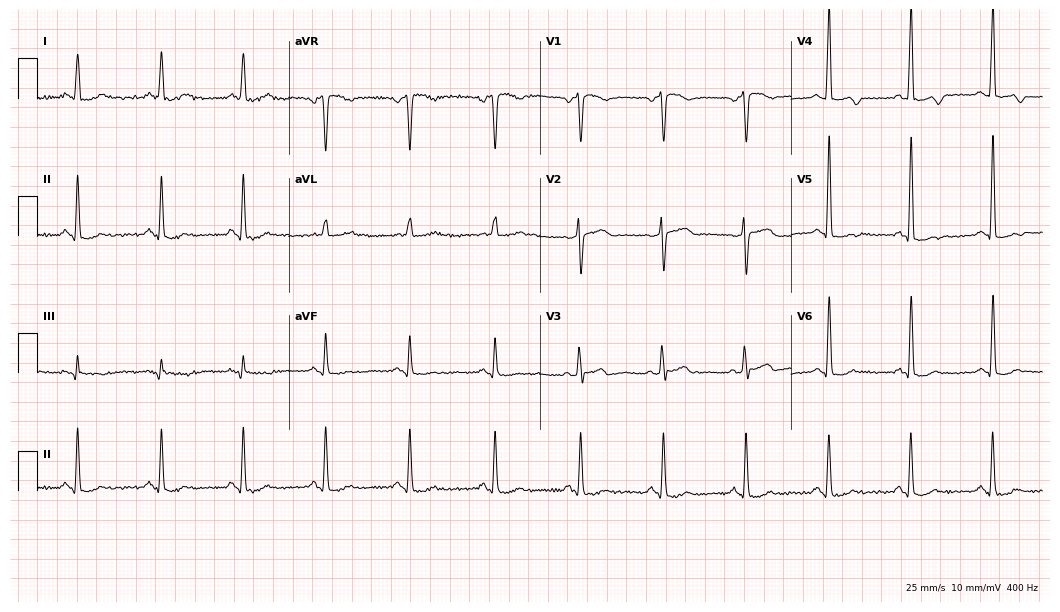
12-lead ECG from a 73-year-old man. No first-degree AV block, right bundle branch block, left bundle branch block, sinus bradycardia, atrial fibrillation or sinus tachycardia recorded for this tracing.